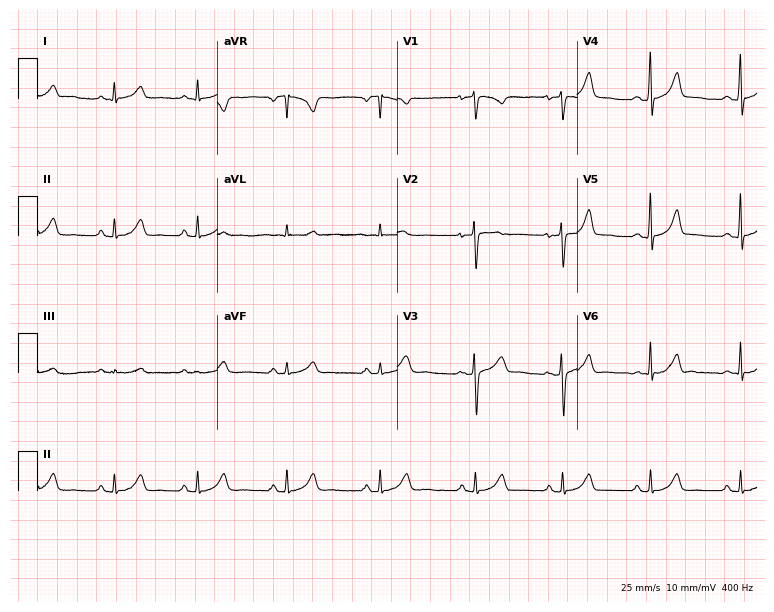
Electrocardiogram (7.3-second recording at 400 Hz), a 29-year-old woman. Overall reading on record: normal ECG.